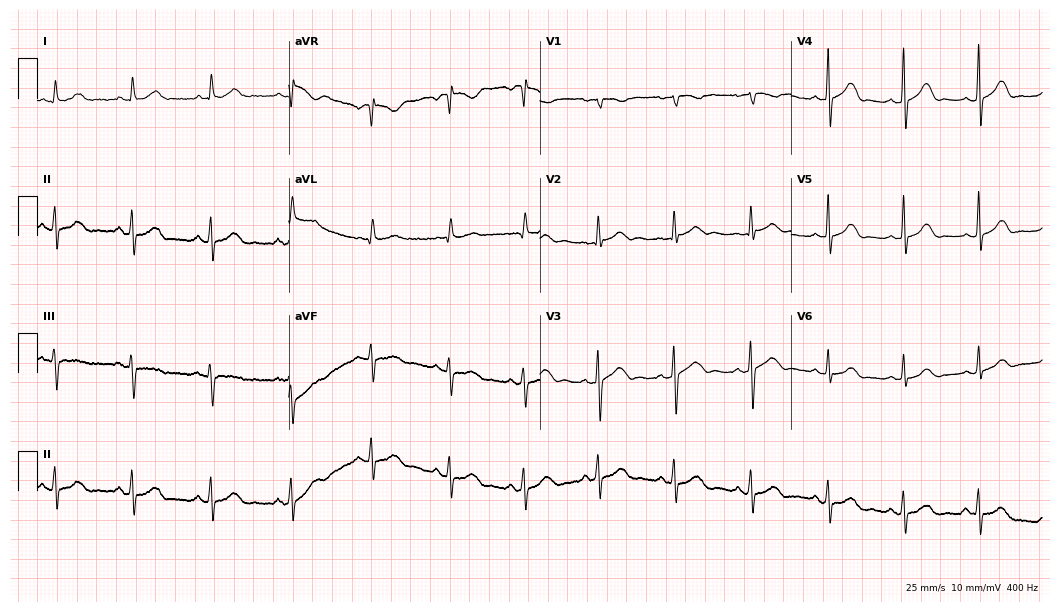
Electrocardiogram (10.2-second recording at 400 Hz), a 39-year-old female. Overall reading on record: normal ECG.